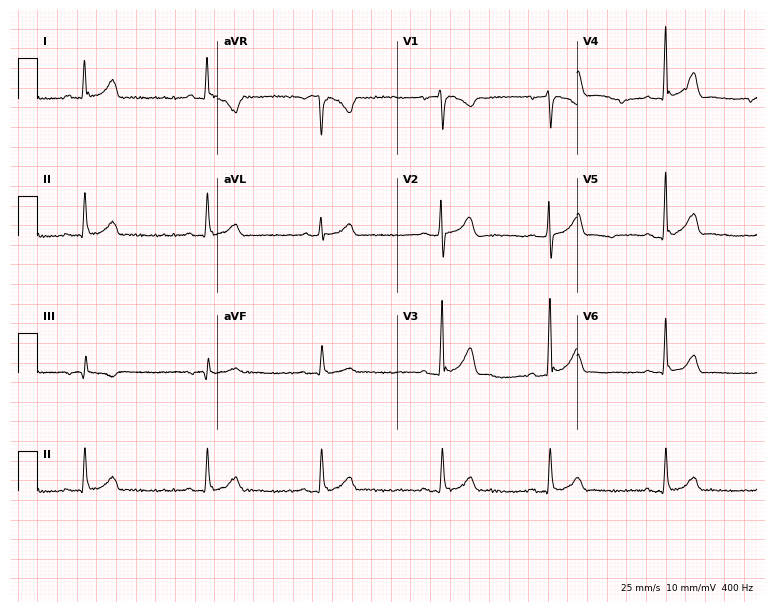
Resting 12-lead electrocardiogram. Patient: a male, 41 years old. Read as a normal ECG.